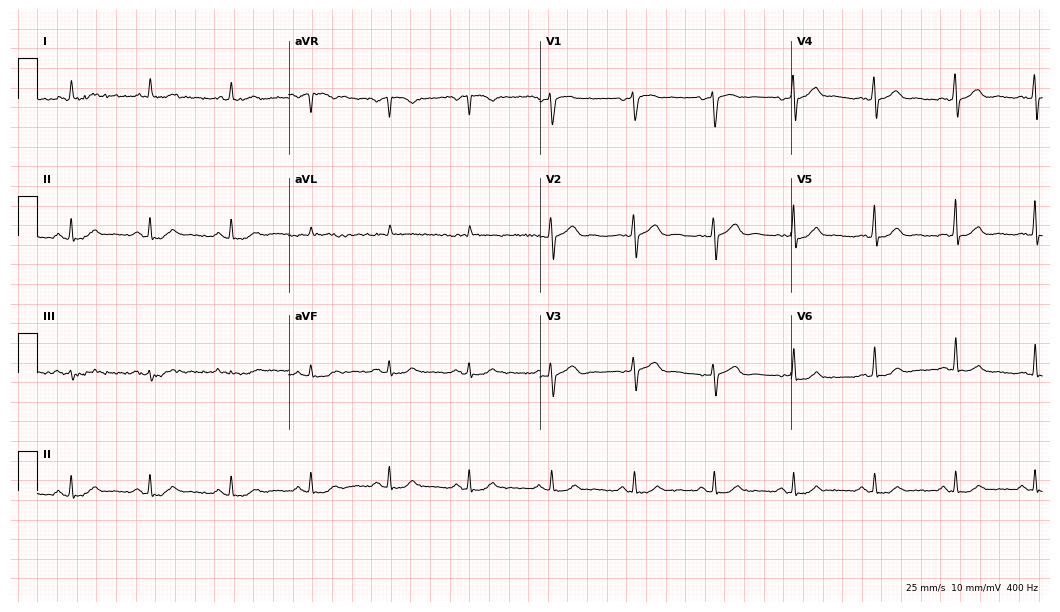
Resting 12-lead electrocardiogram (10.2-second recording at 400 Hz). Patient: a 72-year-old male. Read as a normal ECG.